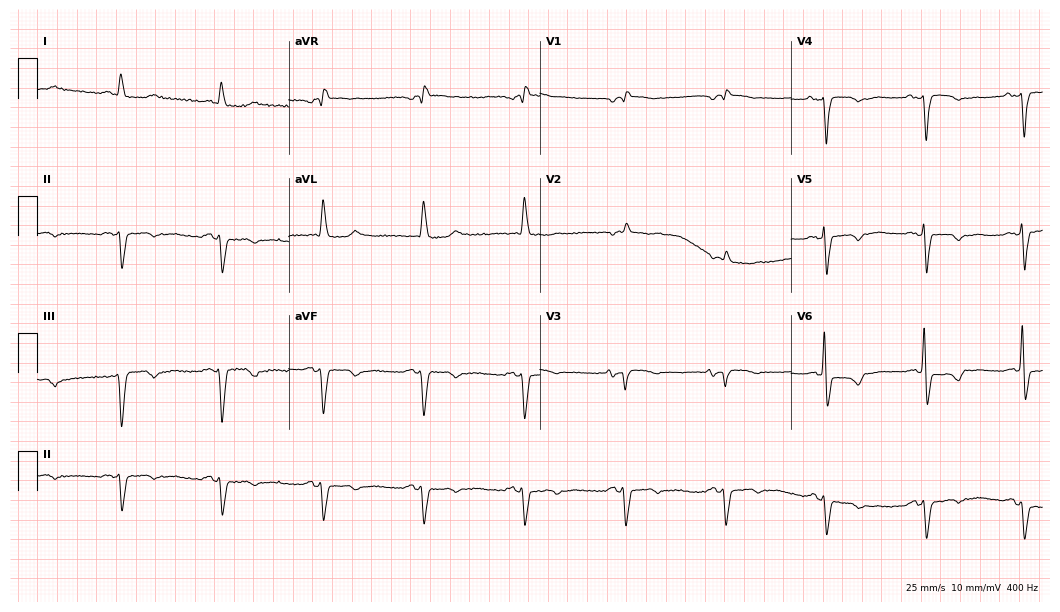
Resting 12-lead electrocardiogram. Patient: an 85-year-old woman. None of these six findings is recorded: first-degree AV block, right bundle branch block (RBBB), left bundle branch block (LBBB), sinus bradycardia, atrial fibrillation (AF), sinus tachycardia.